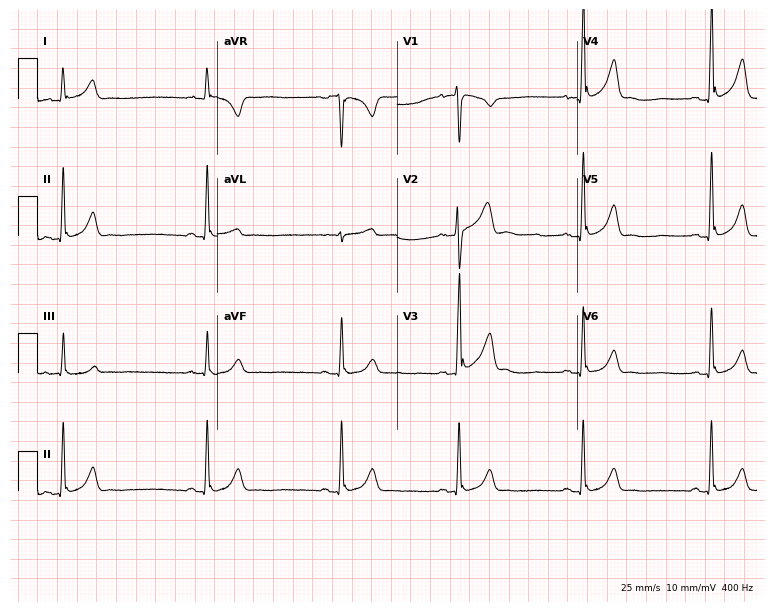
ECG — a 32-year-old male. Findings include sinus bradycardia (a sinus rate of 50 beats per minute or less).